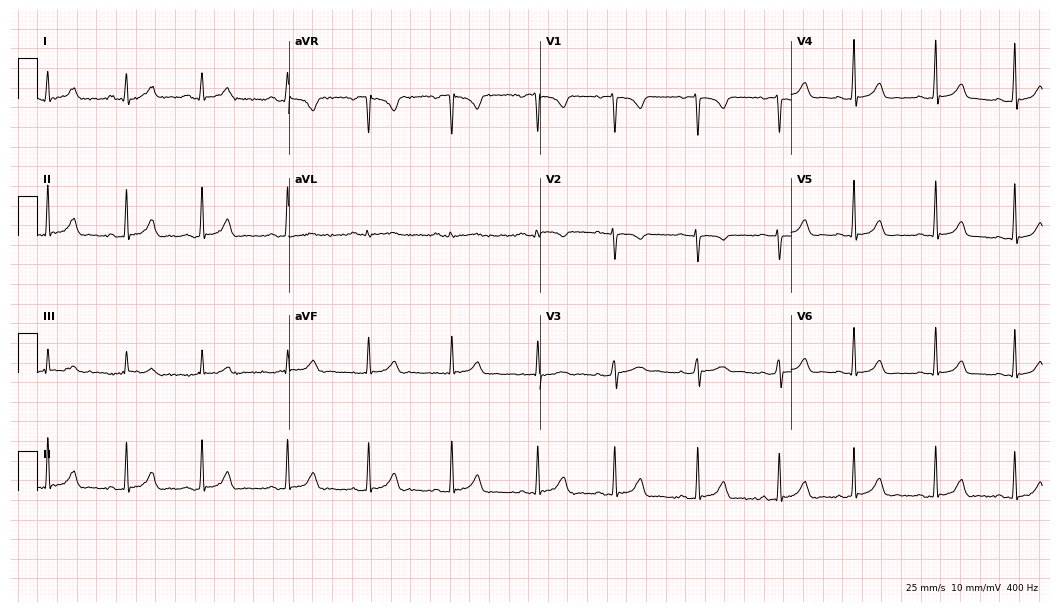
Resting 12-lead electrocardiogram. Patient: an 18-year-old female. Read as a normal ECG.